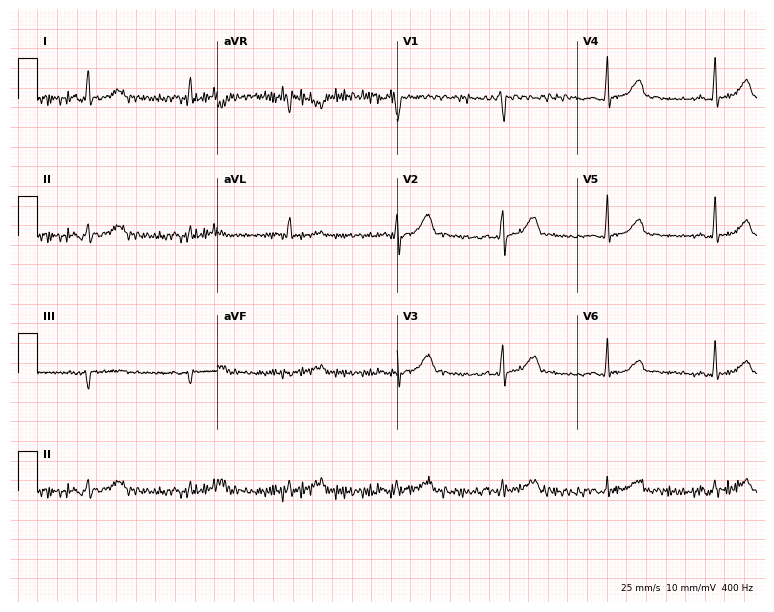
ECG (7.3-second recording at 400 Hz) — a 40-year-old female. Screened for six findings — first-degree AV block, right bundle branch block (RBBB), left bundle branch block (LBBB), sinus bradycardia, atrial fibrillation (AF), sinus tachycardia — none is recorded.